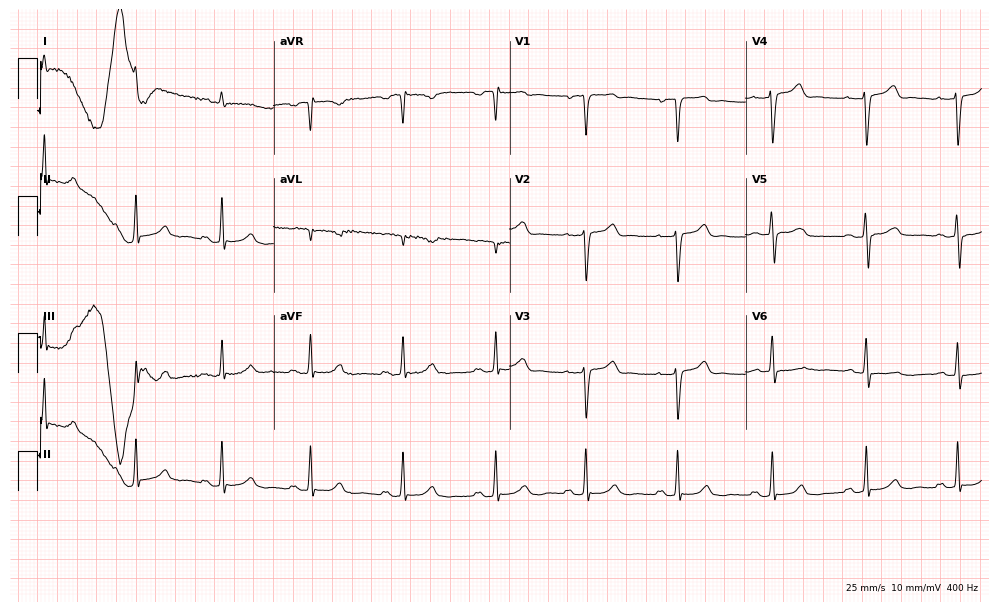
Electrocardiogram (9.6-second recording at 400 Hz), a 42-year-old man. Of the six screened findings (first-degree AV block, right bundle branch block (RBBB), left bundle branch block (LBBB), sinus bradycardia, atrial fibrillation (AF), sinus tachycardia), none is recorded. Findings outside these six are not listed.